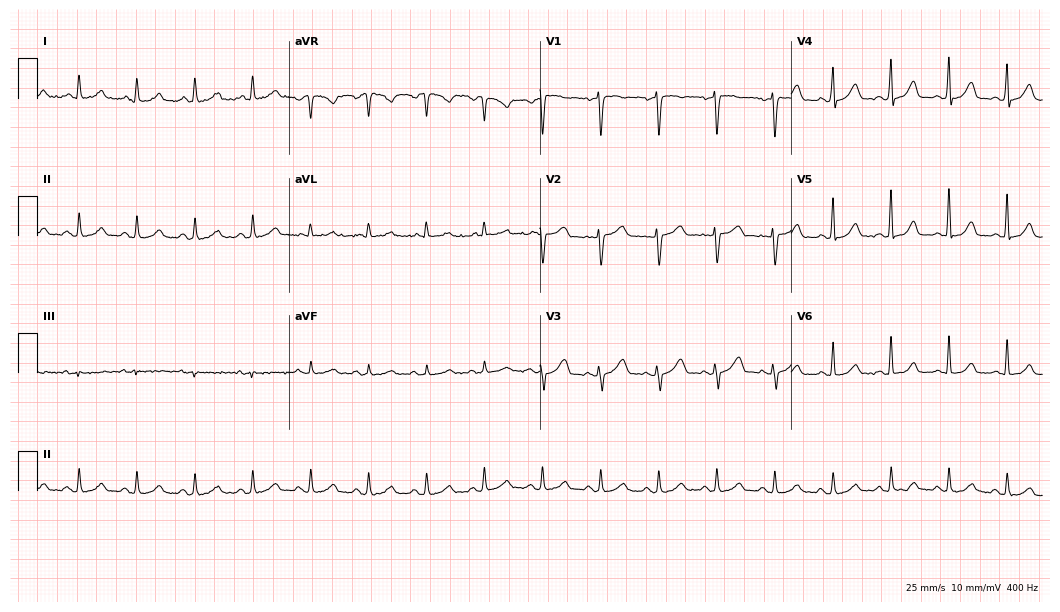
Standard 12-lead ECG recorded from a female patient, 66 years old. None of these six findings is recorded: first-degree AV block, right bundle branch block (RBBB), left bundle branch block (LBBB), sinus bradycardia, atrial fibrillation (AF), sinus tachycardia. Only these six findings were labelled.